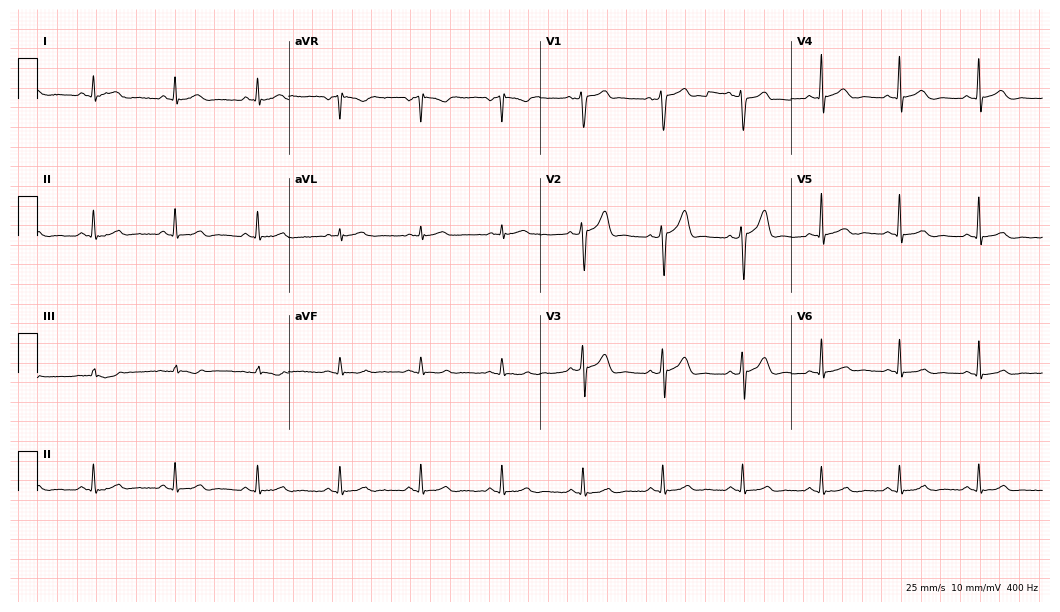
Electrocardiogram (10.2-second recording at 400 Hz), a woman, 58 years old. Overall reading on record: normal ECG.